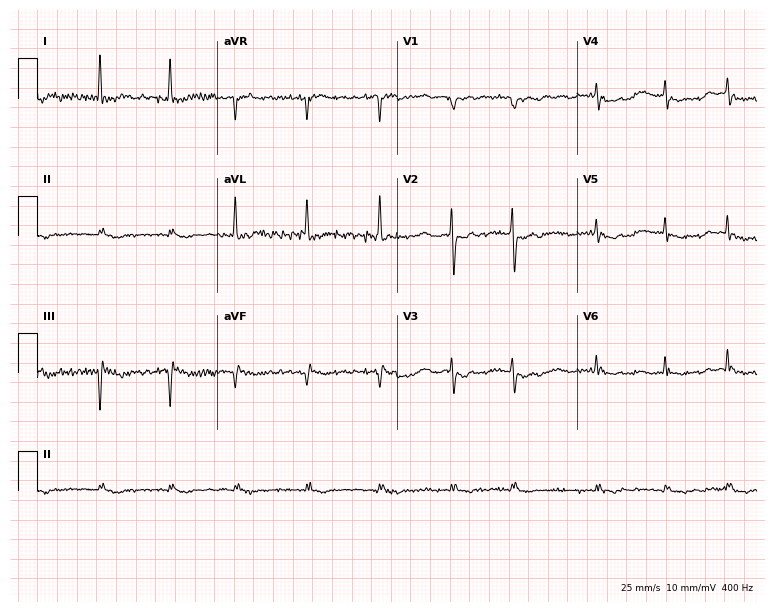
ECG (7.3-second recording at 400 Hz) — a male patient, 84 years old. Findings include atrial fibrillation (AF).